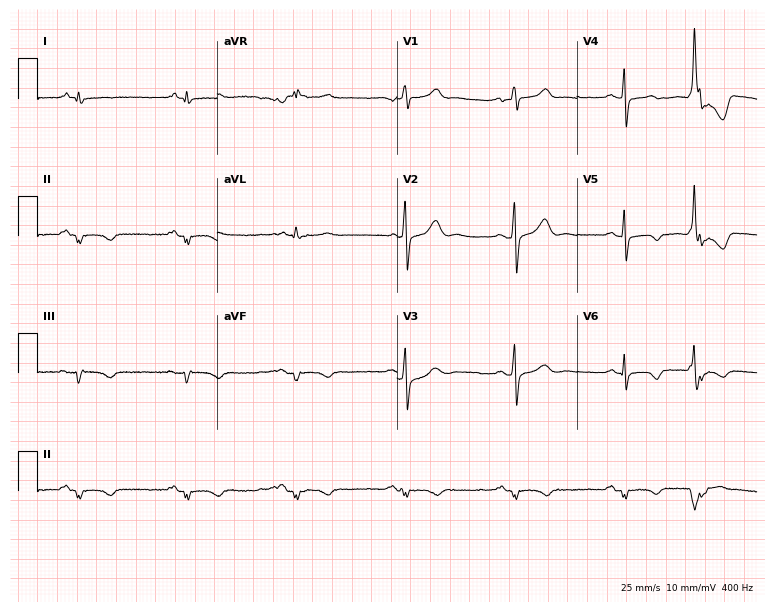
Standard 12-lead ECG recorded from a male patient, 66 years old. None of these six findings is recorded: first-degree AV block, right bundle branch block, left bundle branch block, sinus bradycardia, atrial fibrillation, sinus tachycardia. Other findings, if any, are not listed.